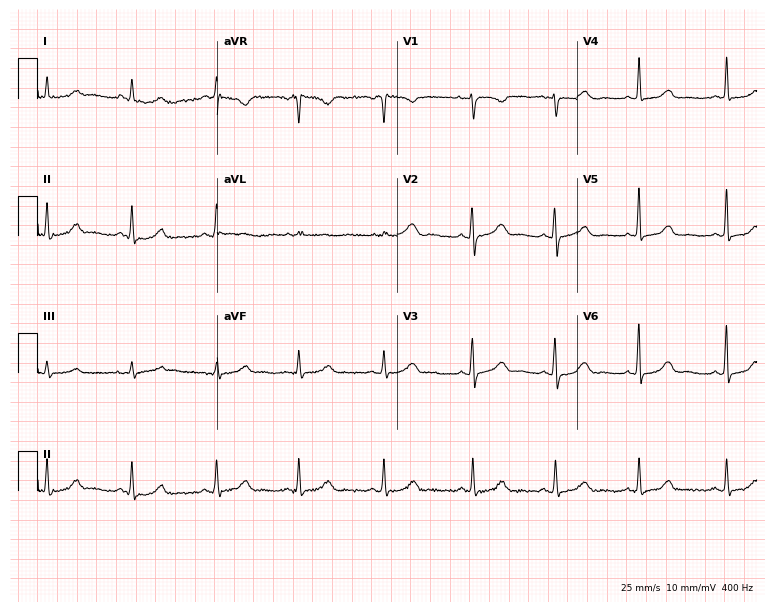
ECG (7.3-second recording at 400 Hz) — a woman, 44 years old. Labelled as a normal ECG.